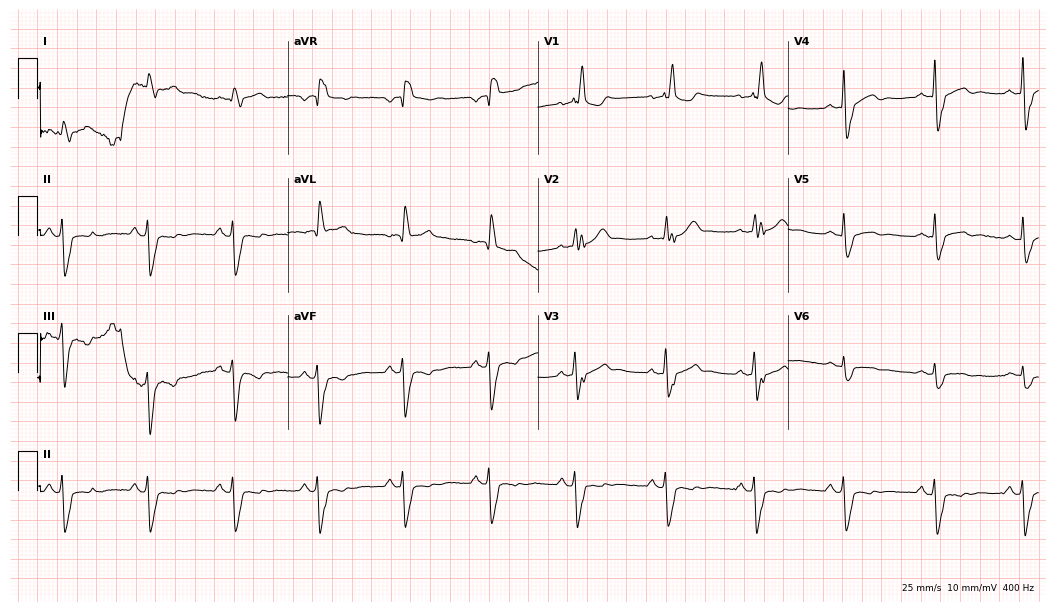
ECG — a man, 63 years old. Screened for six findings — first-degree AV block, right bundle branch block (RBBB), left bundle branch block (LBBB), sinus bradycardia, atrial fibrillation (AF), sinus tachycardia — none is recorded.